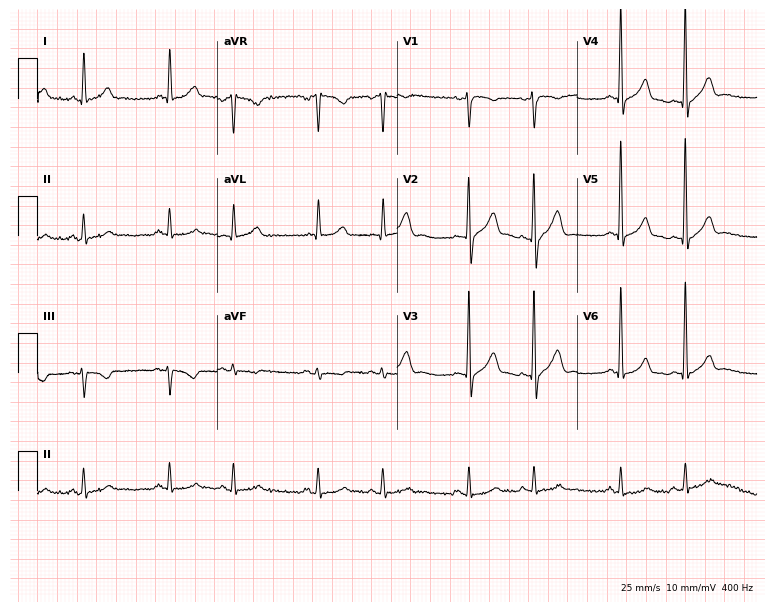
12-lead ECG (7.3-second recording at 400 Hz) from a male, 59 years old. Screened for six findings — first-degree AV block, right bundle branch block, left bundle branch block, sinus bradycardia, atrial fibrillation, sinus tachycardia — none is recorded. Findings outside these six are not listed.